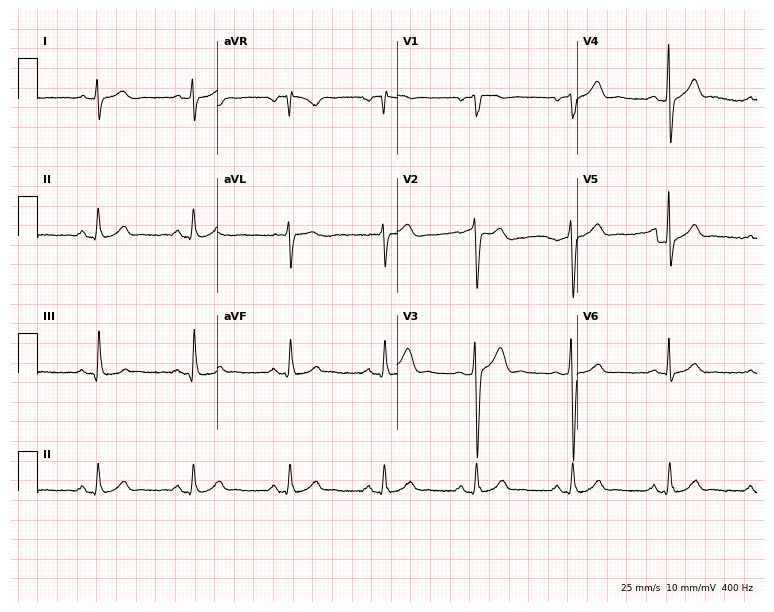
12-lead ECG from a 61-year-old man (7.3-second recording at 400 Hz). Recorded interpretation: within normal limits.